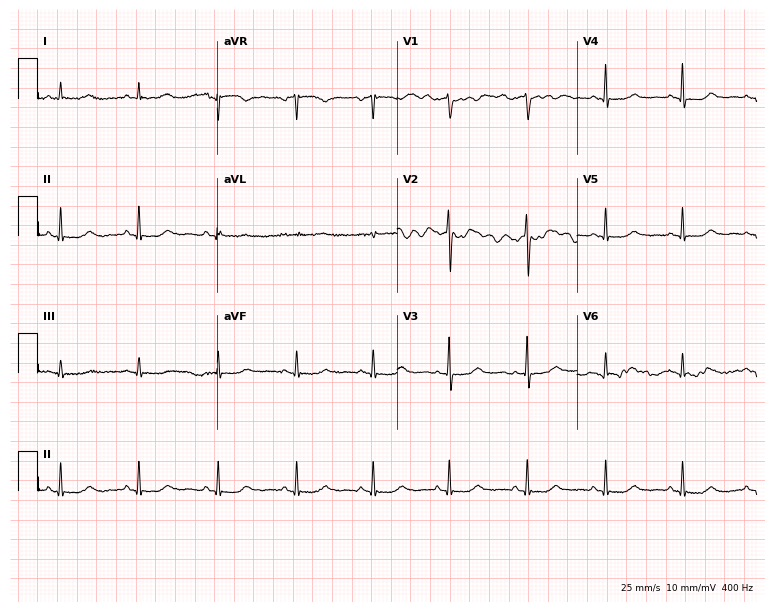
Standard 12-lead ECG recorded from a 57-year-old woman (7.3-second recording at 400 Hz). None of these six findings is recorded: first-degree AV block, right bundle branch block, left bundle branch block, sinus bradycardia, atrial fibrillation, sinus tachycardia. Findings outside these six are not listed.